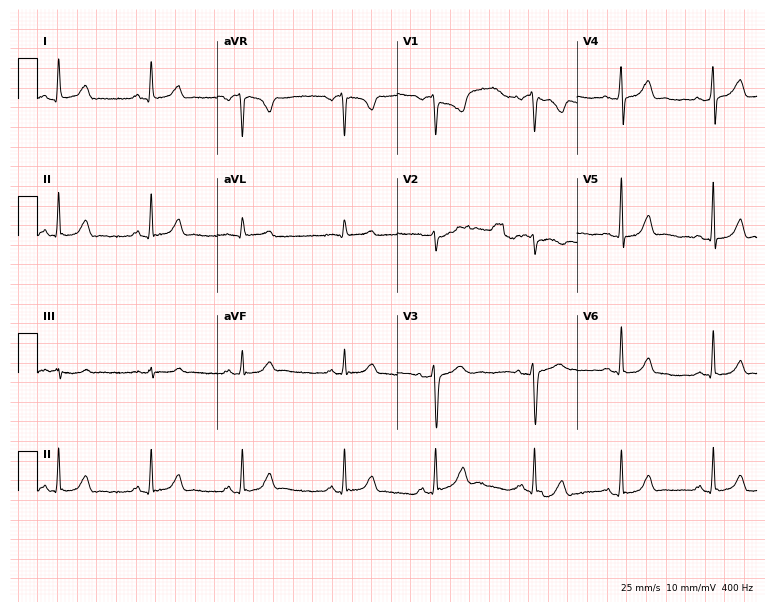
Resting 12-lead electrocardiogram (7.3-second recording at 400 Hz). Patient: a 29-year-old woman. None of these six findings is recorded: first-degree AV block, right bundle branch block, left bundle branch block, sinus bradycardia, atrial fibrillation, sinus tachycardia.